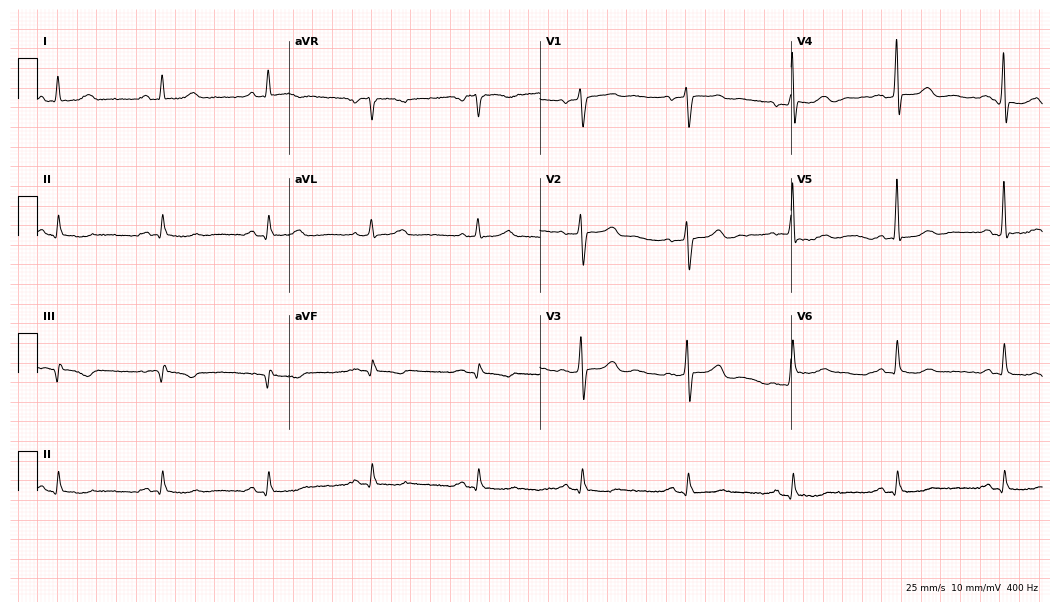
Standard 12-lead ECG recorded from a 77-year-old man (10.2-second recording at 400 Hz). Read as a normal ECG.